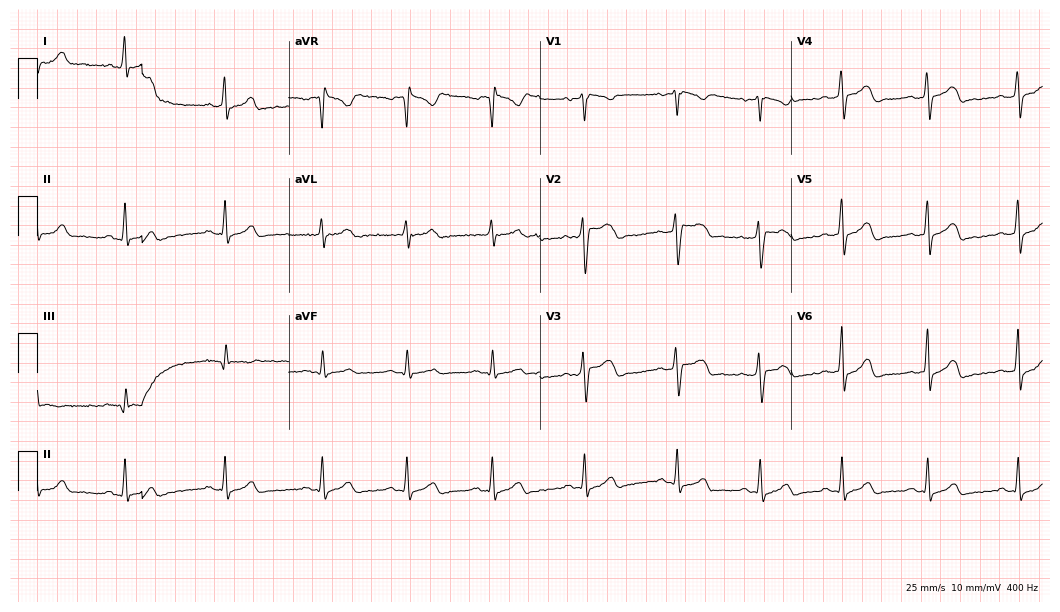
12-lead ECG (10.2-second recording at 400 Hz) from a female, 30 years old. Labelled as a normal ECG.